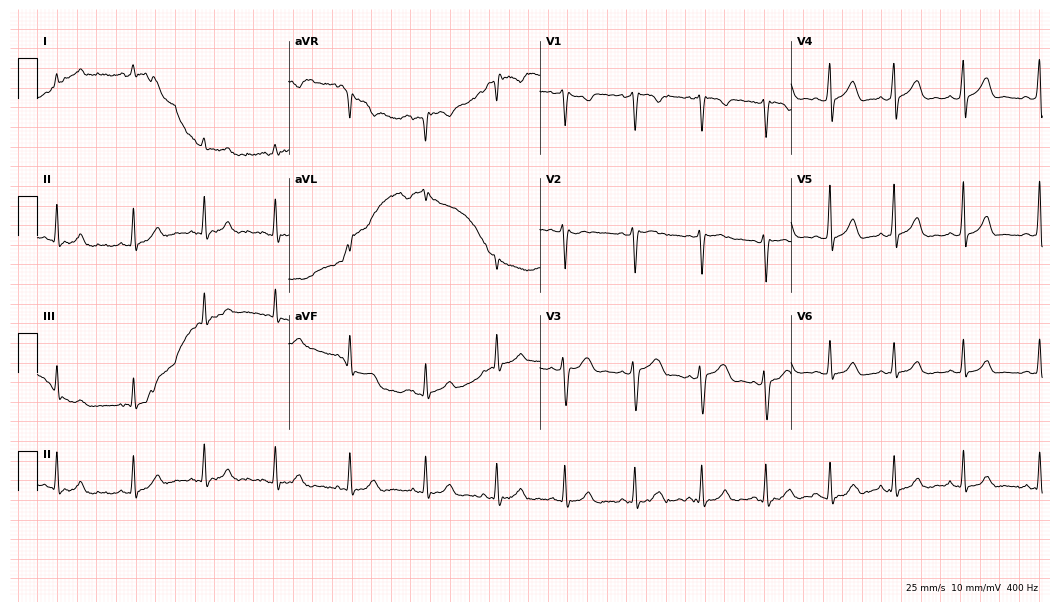
12-lead ECG from a 36-year-old woman. No first-degree AV block, right bundle branch block, left bundle branch block, sinus bradycardia, atrial fibrillation or sinus tachycardia recorded for this tracing. Only these six findings were labelled.